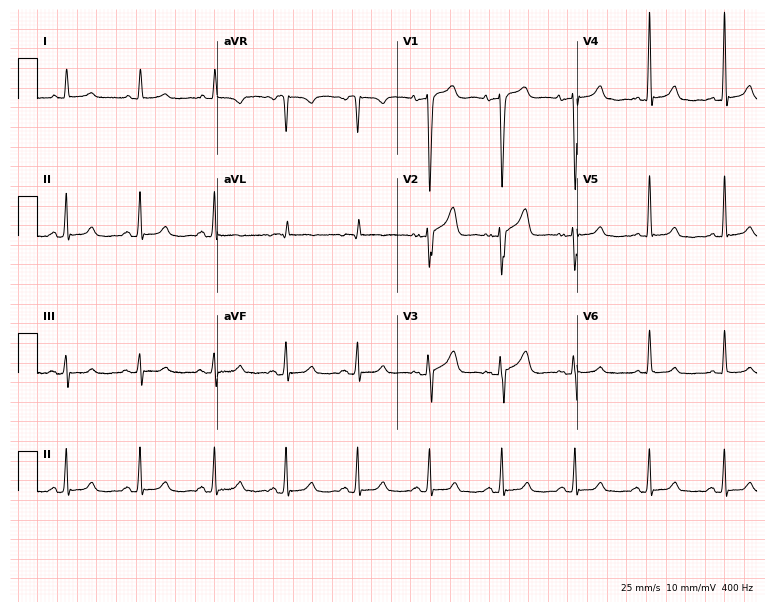
Standard 12-lead ECG recorded from a 59-year-old male patient (7.3-second recording at 400 Hz). Read as a normal ECG.